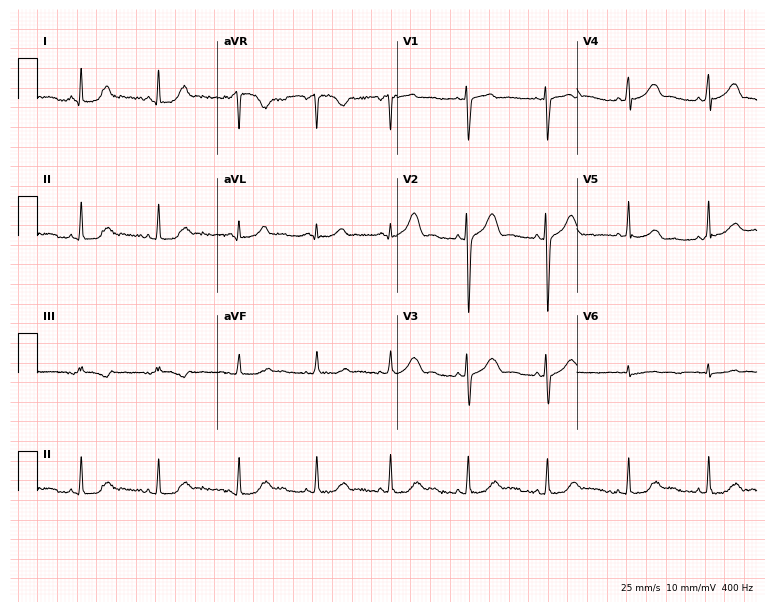
ECG — a female, 33 years old. Screened for six findings — first-degree AV block, right bundle branch block (RBBB), left bundle branch block (LBBB), sinus bradycardia, atrial fibrillation (AF), sinus tachycardia — none is recorded. Other findings, if any, are not listed.